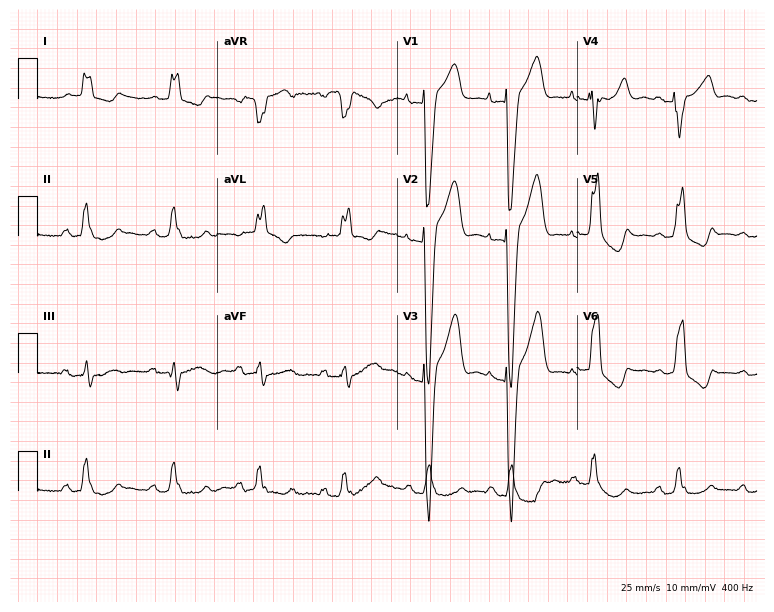
Resting 12-lead electrocardiogram (7.3-second recording at 400 Hz). Patient: a female, 80 years old. The tracing shows left bundle branch block.